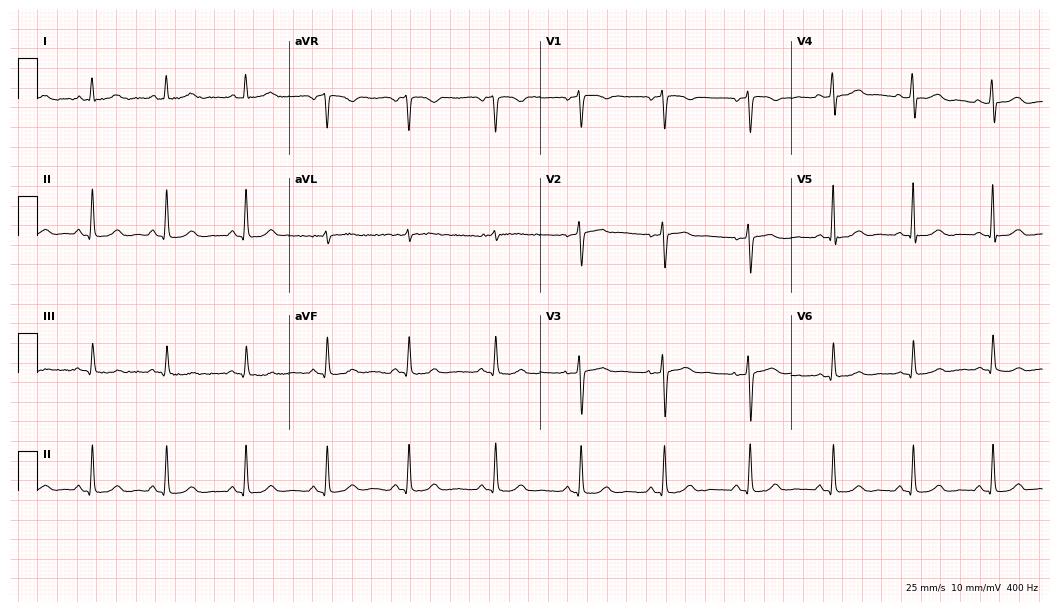
ECG (10.2-second recording at 400 Hz) — a female, 39 years old. Labelled as a normal ECG.